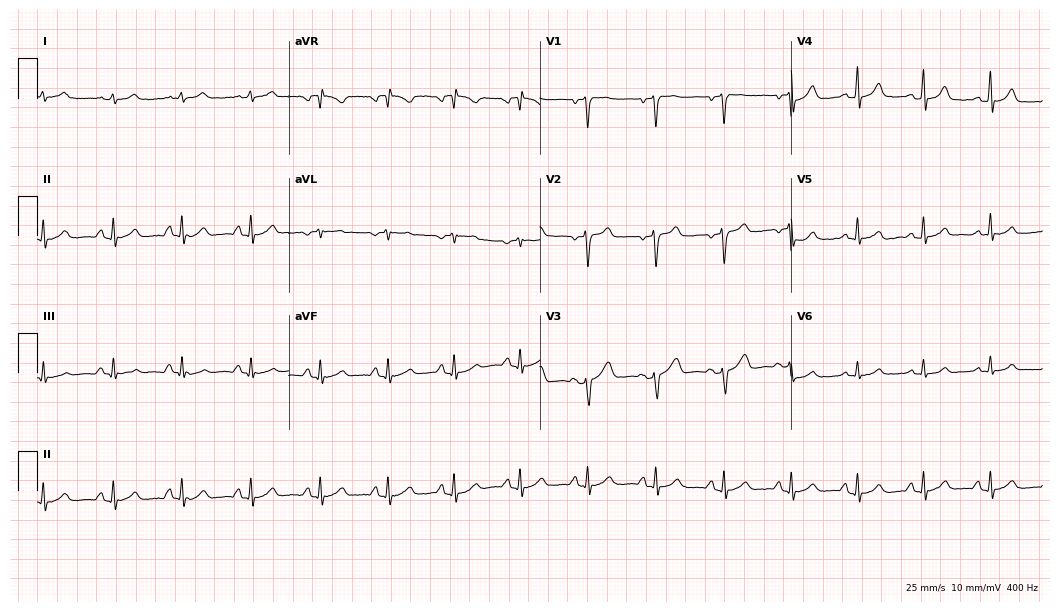
Standard 12-lead ECG recorded from a 27-year-old woman (10.2-second recording at 400 Hz). Read as a normal ECG.